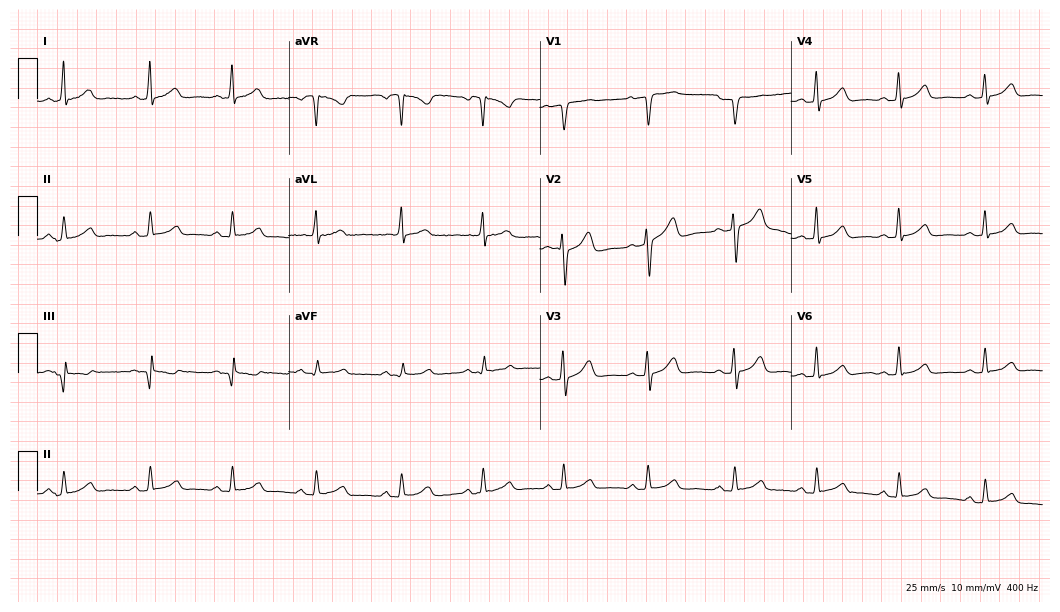
12-lead ECG from a 51-year-old woman (10.2-second recording at 400 Hz). Recorded interpretation: within normal limits.